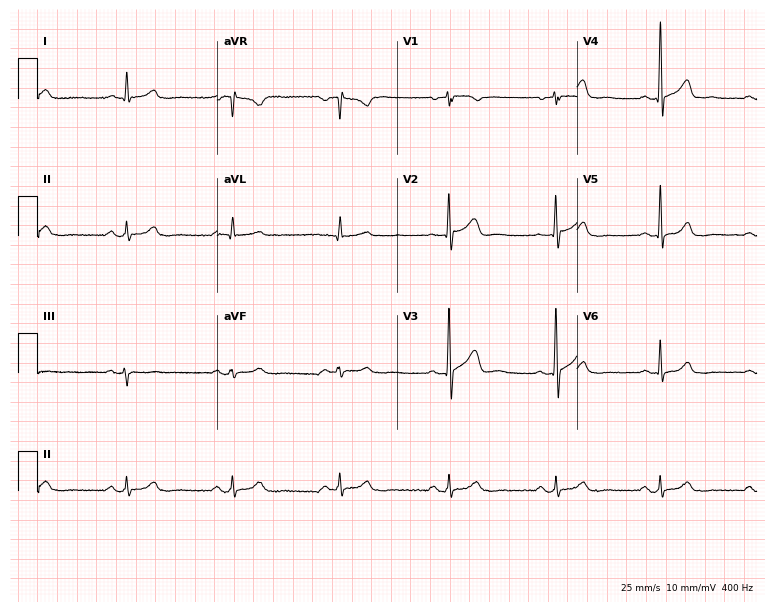
Resting 12-lead electrocardiogram. Patient: a man, 62 years old. None of these six findings is recorded: first-degree AV block, right bundle branch block, left bundle branch block, sinus bradycardia, atrial fibrillation, sinus tachycardia.